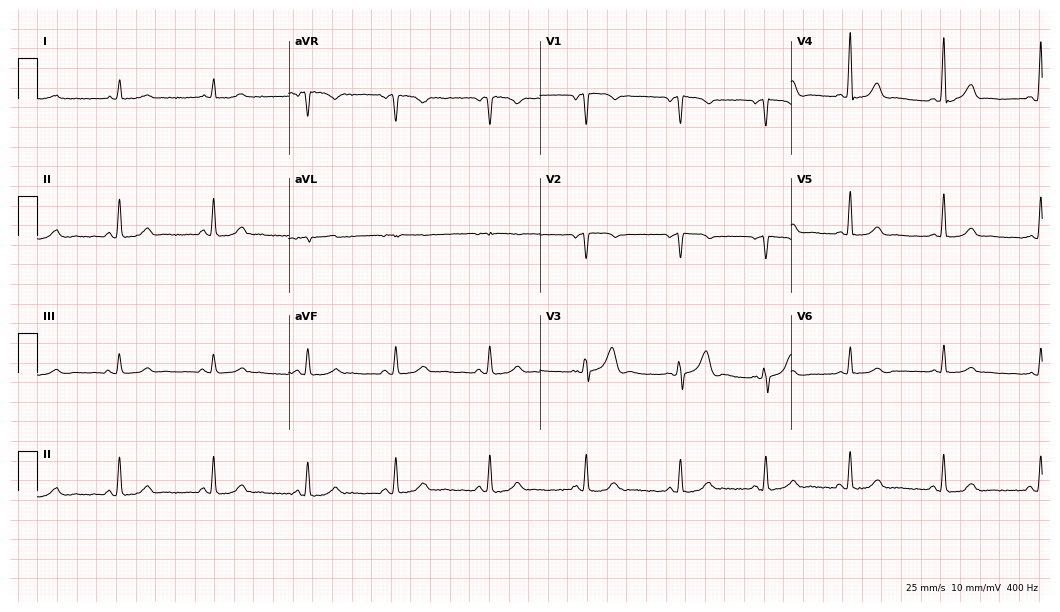
Resting 12-lead electrocardiogram (10.2-second recording at 400 Hz). Patient: a 43-year-old woman. None of these six findings is recorded: first-degree AV block, right bundle branch block (RBBB), left bundle branch block (LBBB), sinus bradycardia, atrial fibrillation (AF), sinus tachycardia. Only these six findings were labelled.